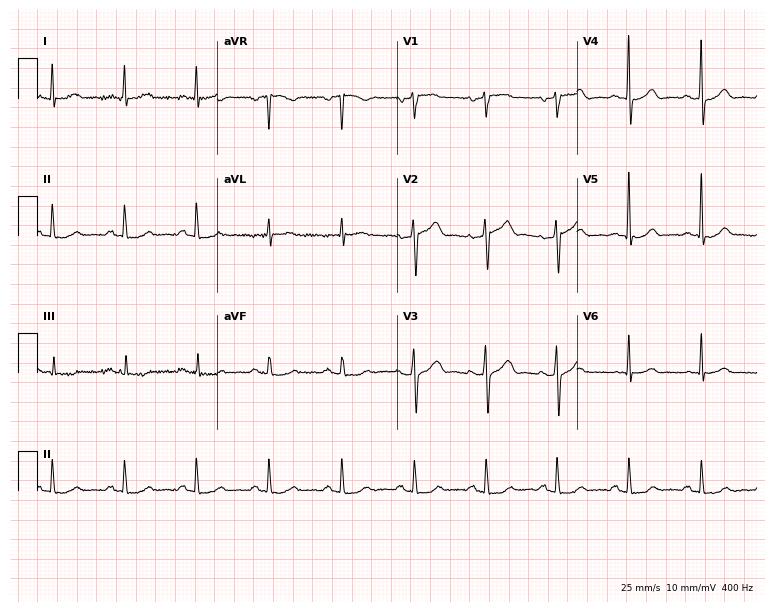
12-lead ECG (7.3-second recording at 400 Hz) from a 65-year-old male patient. Screened for six findings — first-degree AV block, right bundle branch block (RBBB), left bundle branch block (LBBB), sinus bradycardia, atrial fibrillation (AF), sinus tachycardia — none is recorded. Other findings, if any, are not listed.